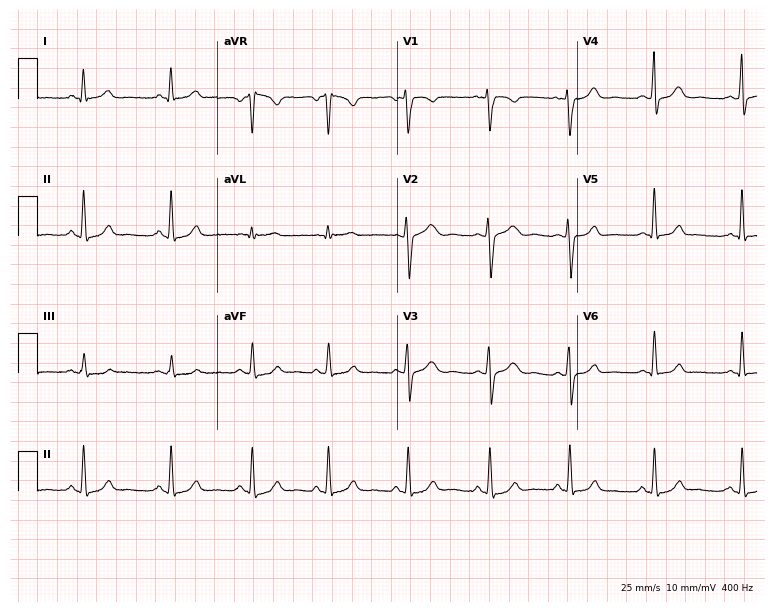
Electrocardiogram (7.3-second recording at 400 Hz), a 40-year-old female. Of the six screened findings (first-degree AV block, right bundle branch block, left bundle branch block, sinus bradycardia, atrial fibrillation, sinus tachycardia), none is recorded. Only these six findings were labelled.